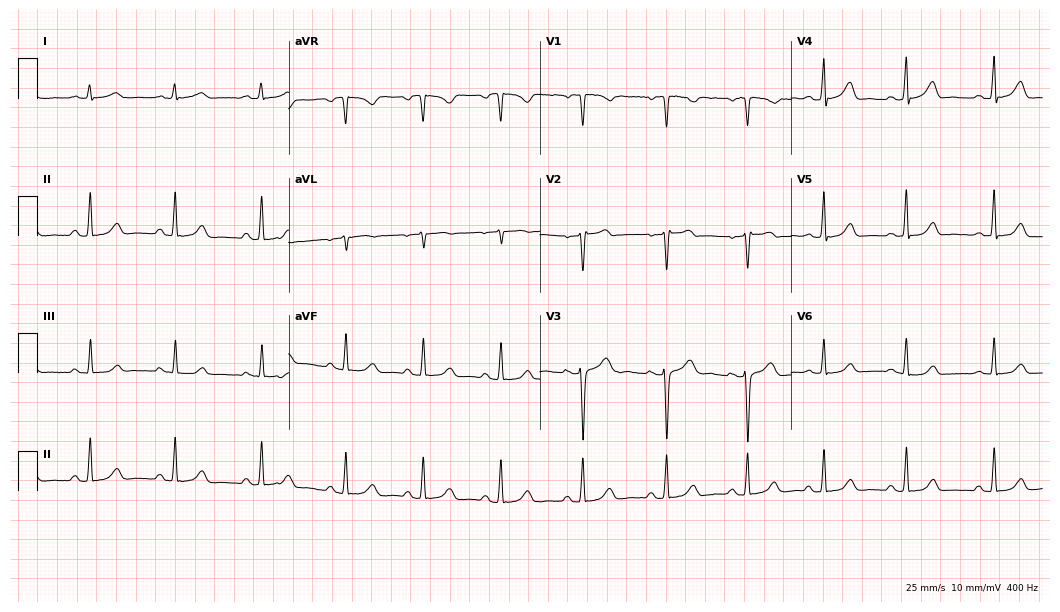
12-lead ECG from a female patient, 41 years old. Recorded interpretation: within normal limits.